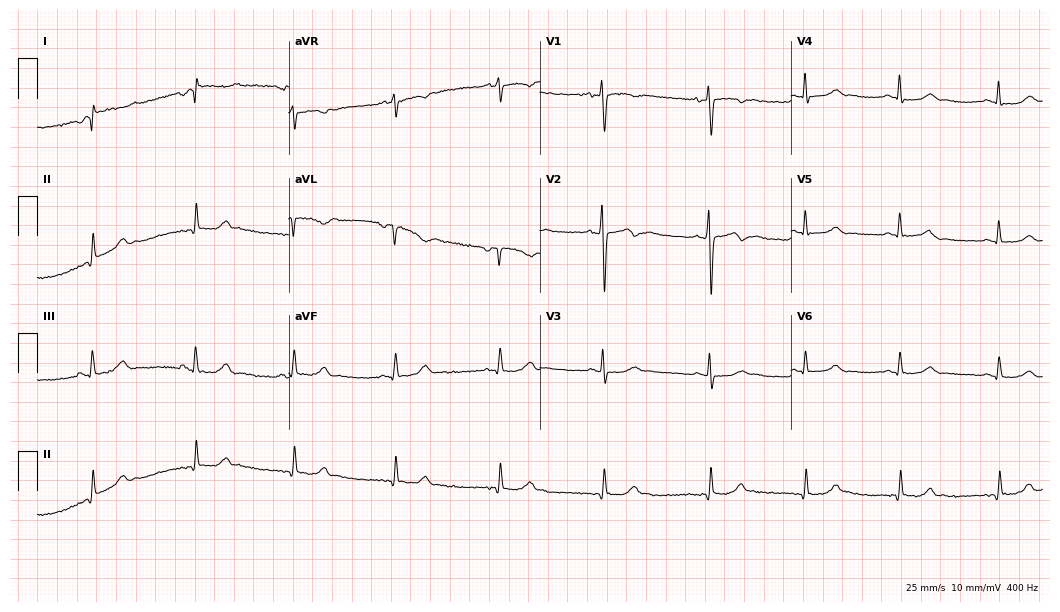
Standard 12-lead ECG recorded from a female patient, 43 years old (10.2-second recording at 400 Hz). None of these six findings is recorded: first-degree AV block, right bundle branch block (RBBB), left bundle branch block (LBBB), sinus bradycardia, atrial fibrillation (AF), sinus tachycardia.